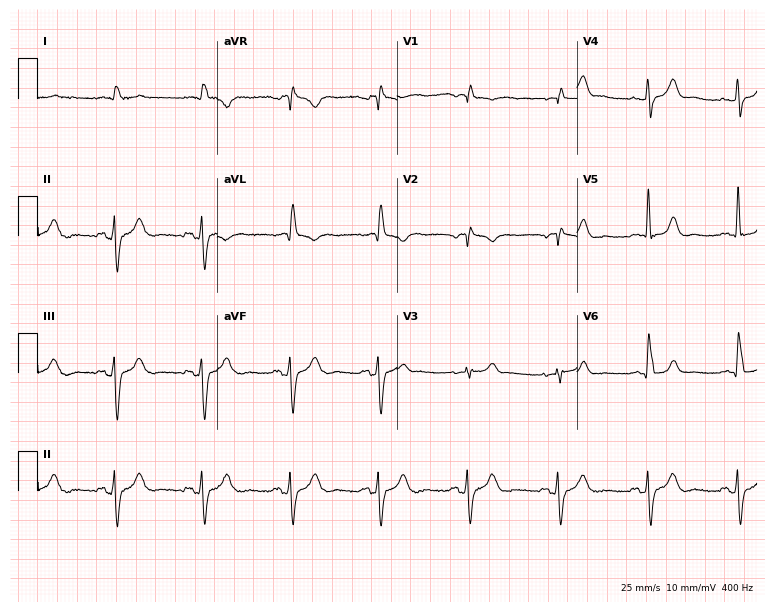
Electrocardiogram, a 74-year-old man. Of the six screened findings (first-degree AV block, right bundle branch block (RBBB), left bundle branch block (LBBB), sinus bradycardia, atrial fibrillation (AF), sinus tachycardia), none is recorded.